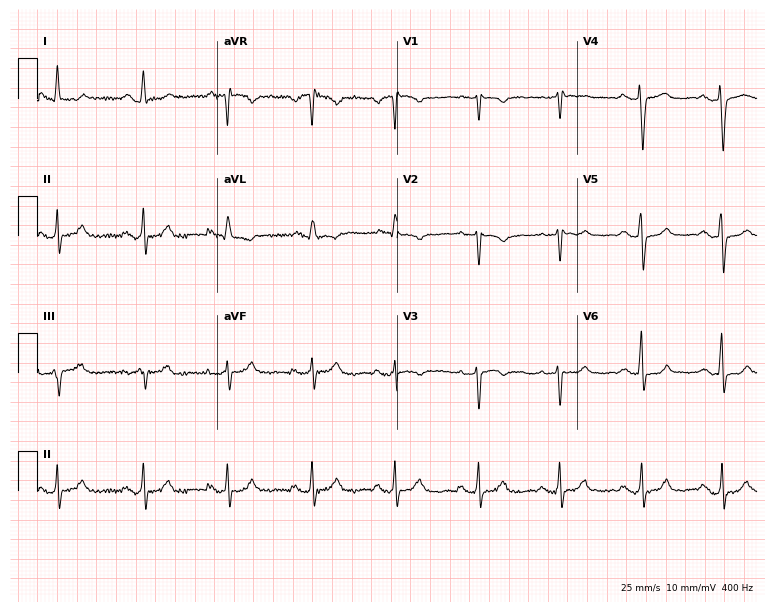
Electrocardiogram, a 67-year-old female. Overall reading on record: normal ECG.